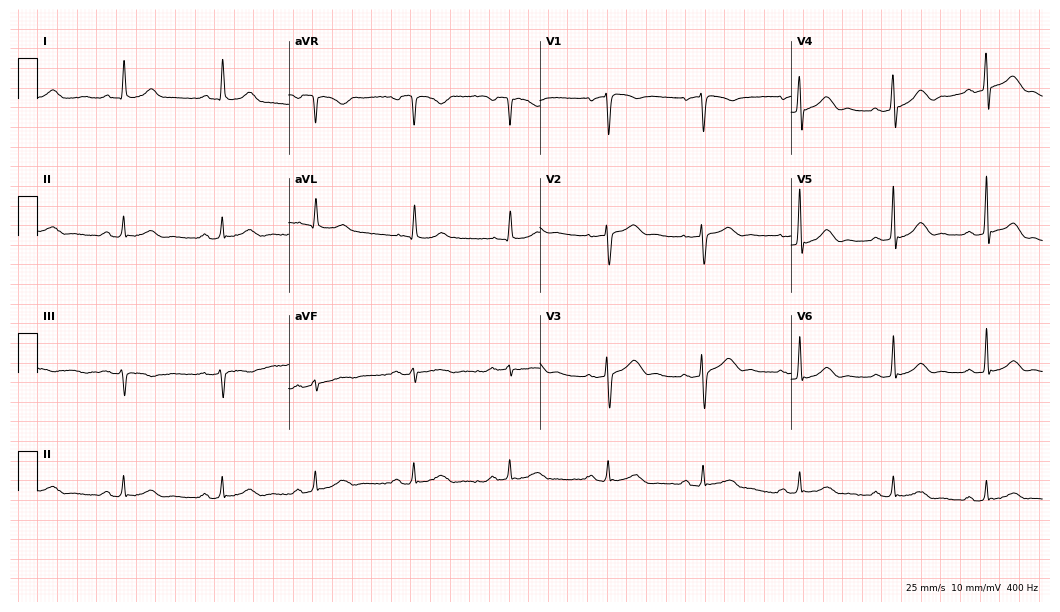
Electrocardiogram (10.2-second recording at 400 Hz), a 55-year-old male. Overall reading on record: normal ECG.